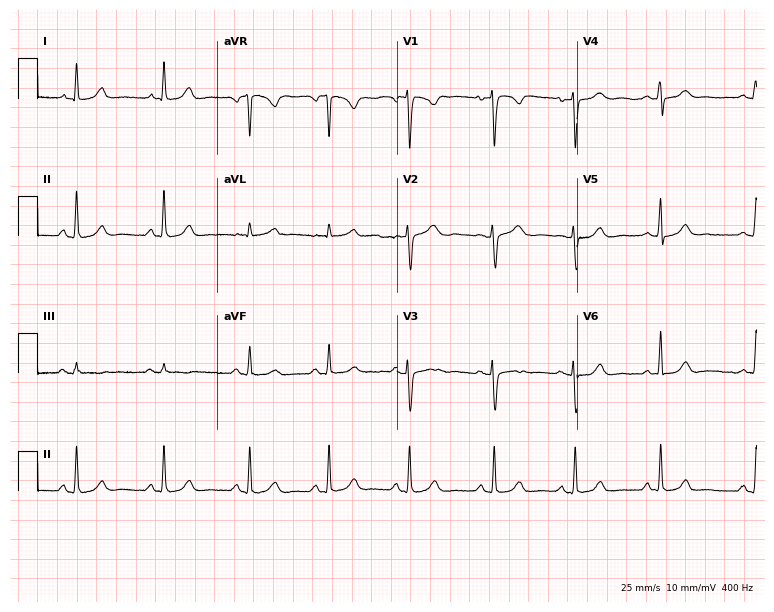
ECG — a 27-year-old female patient. Labelled as a normal ECG.